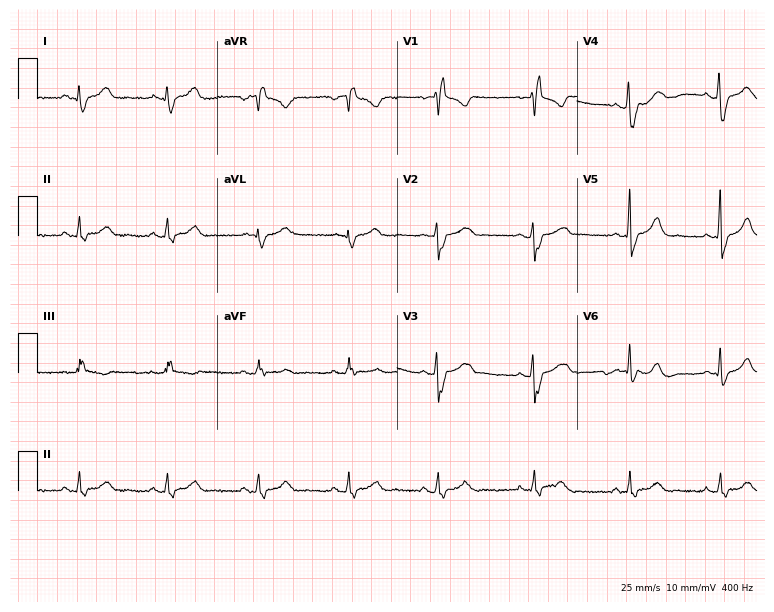
Electrocardiogram, a 33-year-old female patient. Interpretation includes right bundle branch block (RBBB).